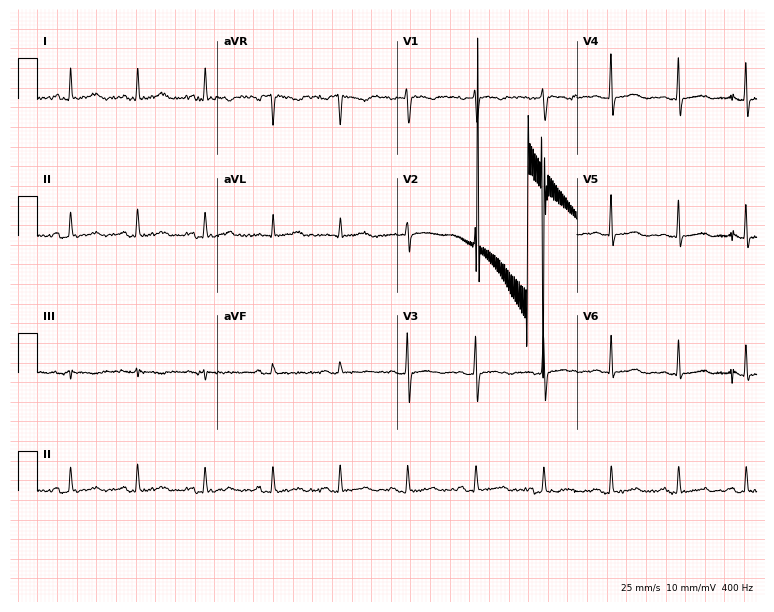
Resting 12-lead electrocardiogram (7.3-second recording at 400 Hz). Patient: a woman, 38 years old. None of these six findings is recorded: first-degree AV block, right bundle branch block, left bundle branch block, sinus bradycardia, atrial fibrillation, sinus tachycardia.